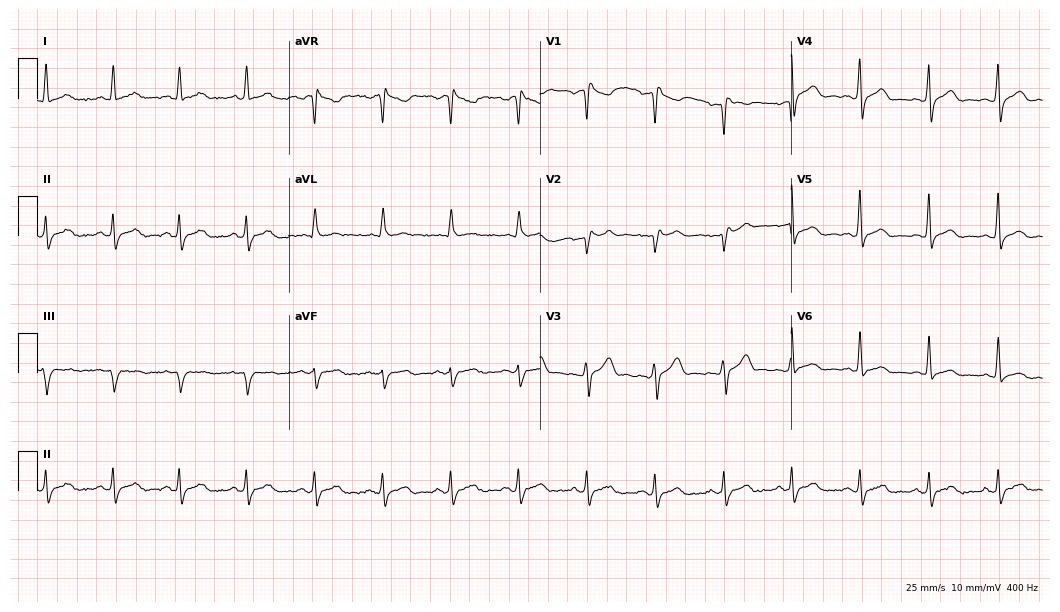
Electrocardiogram, a man, 51 years old. Interpretation includes right bundle branch block (RBBB).